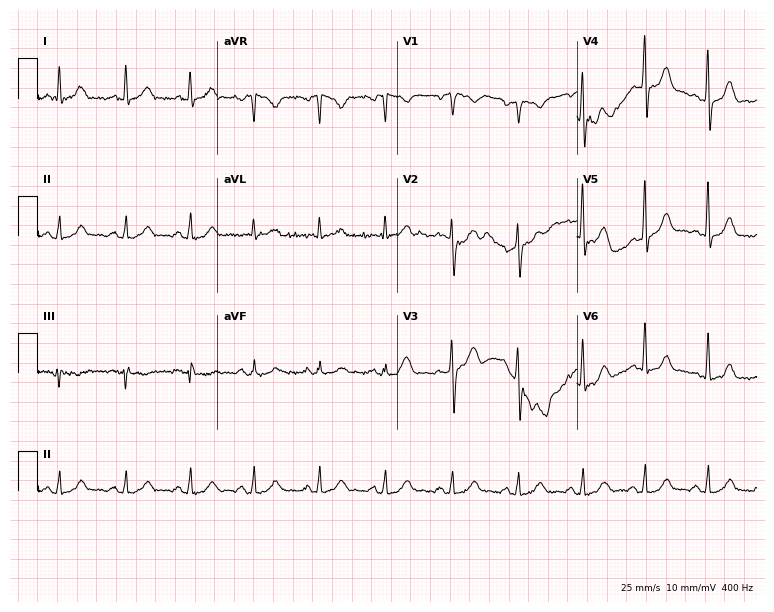
Electrocardiogram (7.3-second recording at 400 Hz), a male, 57 years old. Of the six screened findings (first-degree AV block, right bundle branch block (RBBB), left bundle branch block (LBBB), sinus bradycardia, atrial fibrillation (AF), sinus tachycardia), none is recorded. Findings outside these six are not listed.